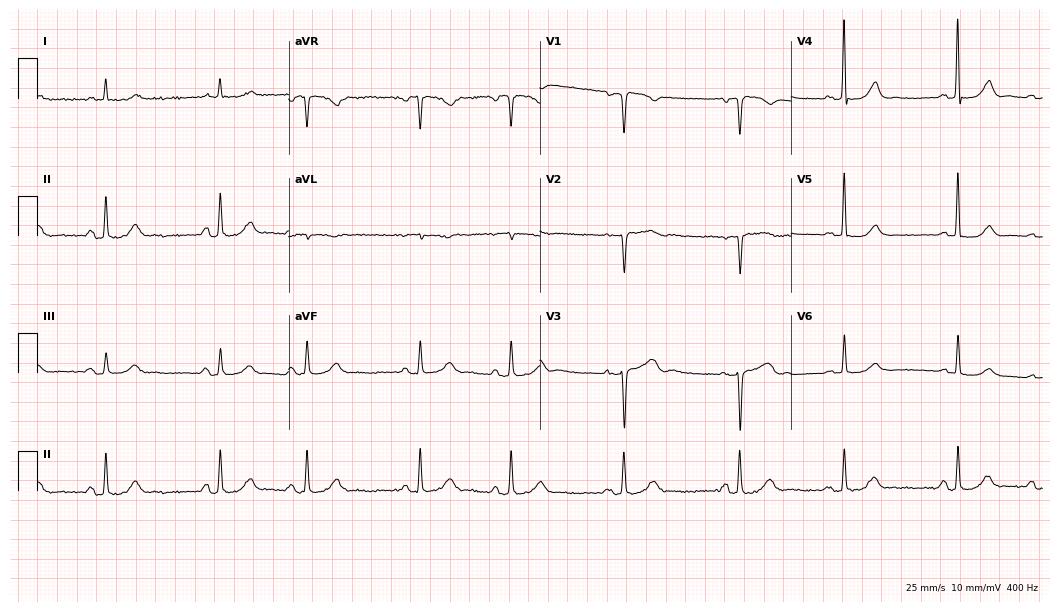
Standard 12-lead ECG recorded from a man, 81 years old (10.2-second recording at 400 Hz). Read as a normal ECG.